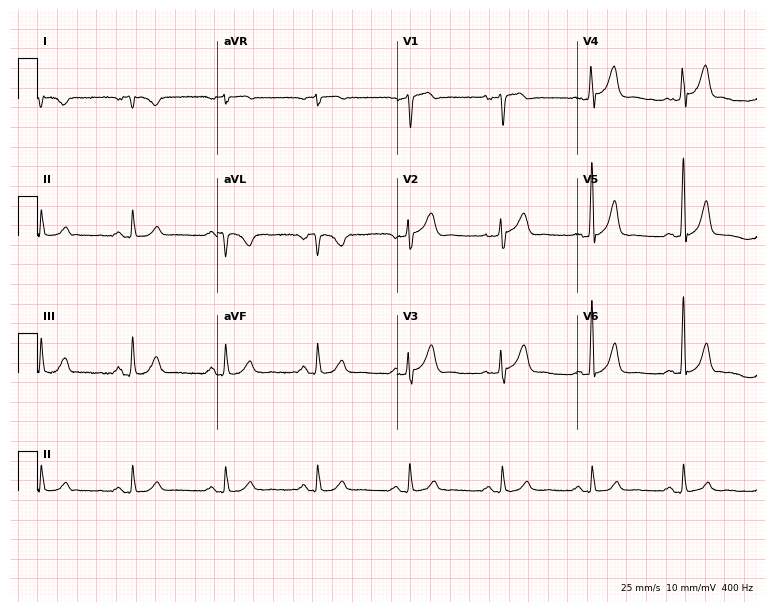
12-lead ECG from a male patient, 67 years old (7.3-second recording at 400 Hz). No first-degree AV block, right bundle branch block, left bundle branch block, sinus bradycardia, atrial fibrillation or sinus tachycardia recorded for this tracing.